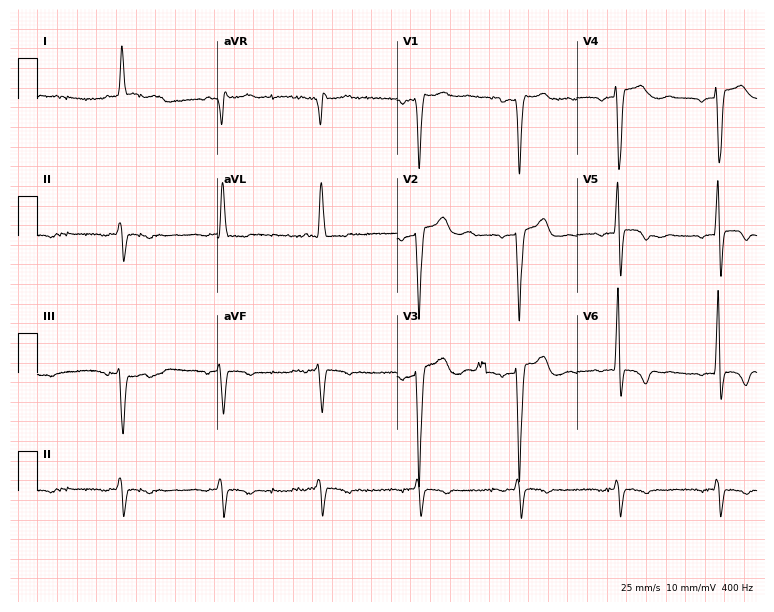
ECG — a male, 66 years old. Screened for six findings — first-degree AV block, right bundle branch block (RBBB), left bundle branch block (LBBB), sinus bradycardia, atrial fibrillation (AF), sinus tachycardia — none is recorded. Findings outside these six are not listed.